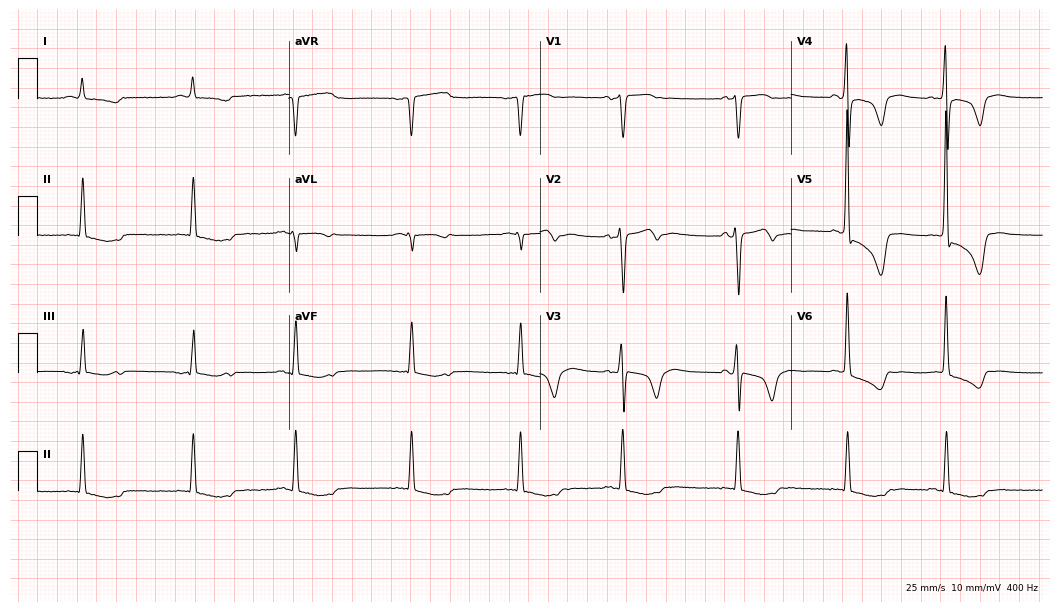
Electrocardiogram (10.2-second recording at 400 Hz), an 80-year-old female. Of the six screened findings (first-degree AV block, right bundle branch block, left bundle branch block, sinus bradycardia, atrial fibrillation, sinus tachycardia), none is recorded. Other findings, if any, are not listed.